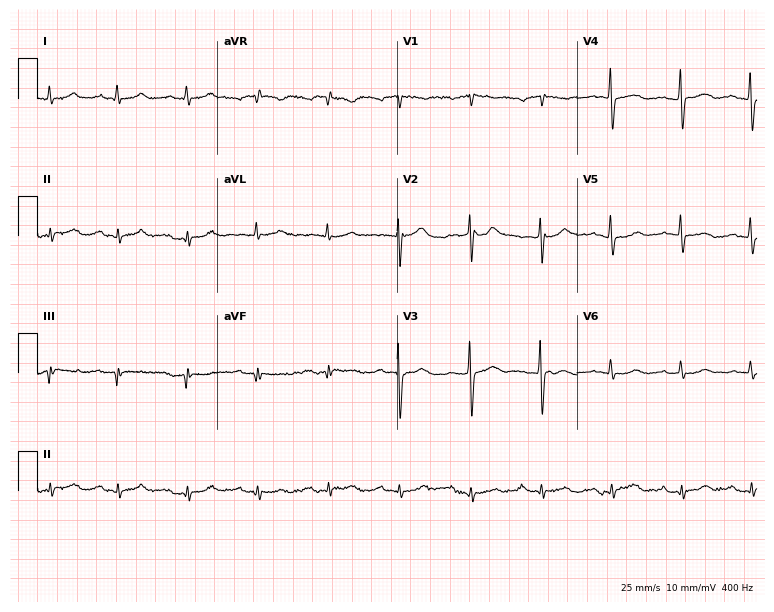
12-lead ECG from a man, 59 years old. No first-degree AV block, right bundle branch block (RBBB), left bundle branch block (LBBB), sinus bradycardia, atrial fibrillation (AF) or sinus tachycardia recorded for this tracing.